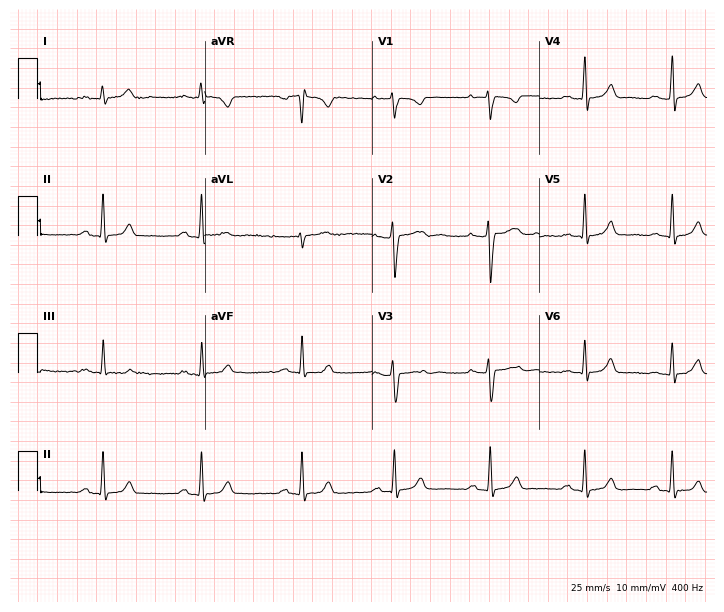
Electrocardiogram (6.8-second recording at 400 Hz), an 18-year-old female patient. Of the six screened findings (first-degree AV block, right bundle branch block (RBBB), left bundle branch block (LBBB), sinus bradycardia, atrial fibrillation (AF), sinus tachycardia), none is recorded. Other findings, if any, are not listed.